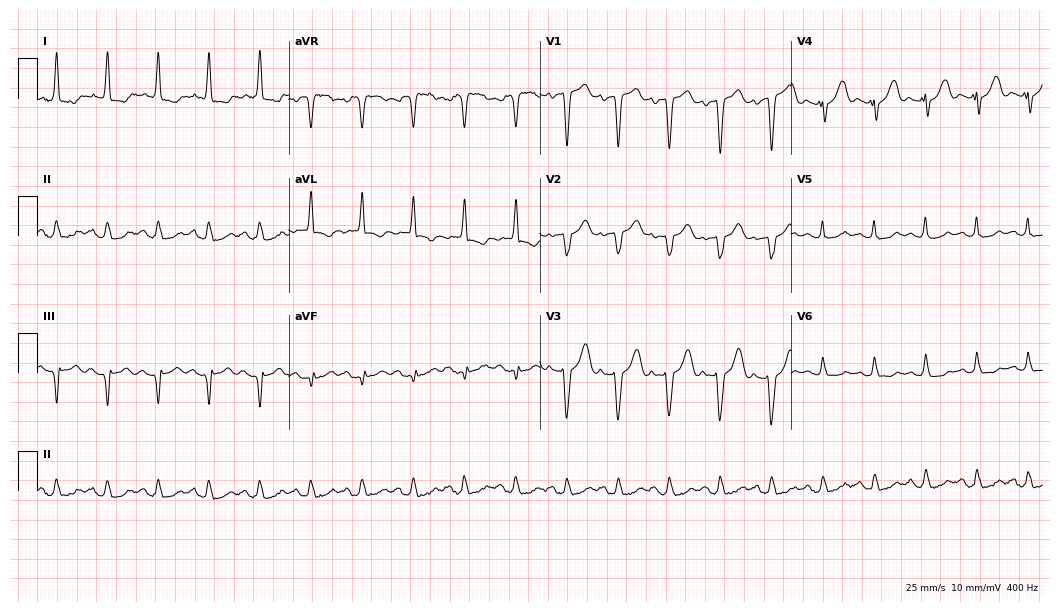
Electrocardiogram (10.2-second recording at 400 Hz), a 78-year-old female. Interpretation includes sinus tachycardia (a sinus rate of 100 beats per minute or more).